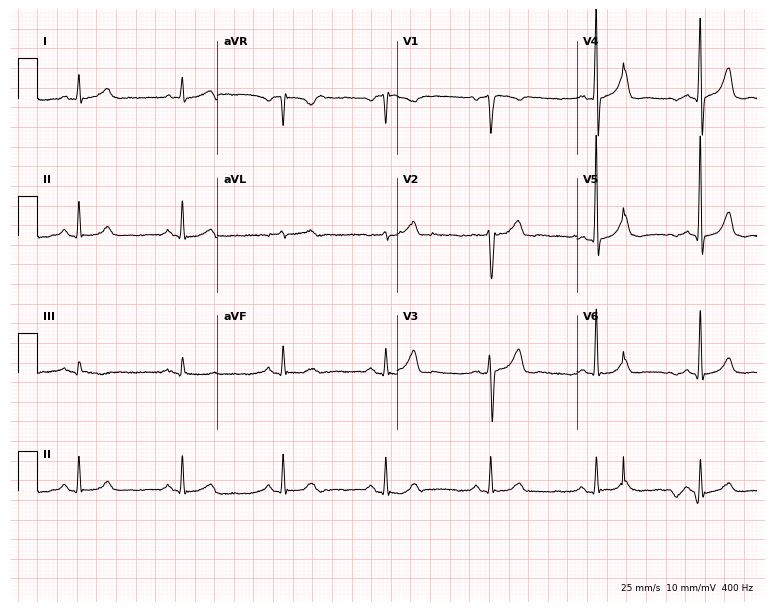
Electrocardiogram, a 56-year-old male. Of the six screened findings (first-degree AV block, right bundle branch block, left bundle branch block, sinus bradycardia, atrial fibrillation, sinus tachycardia), none is recorded. Only these six findings were labelled.